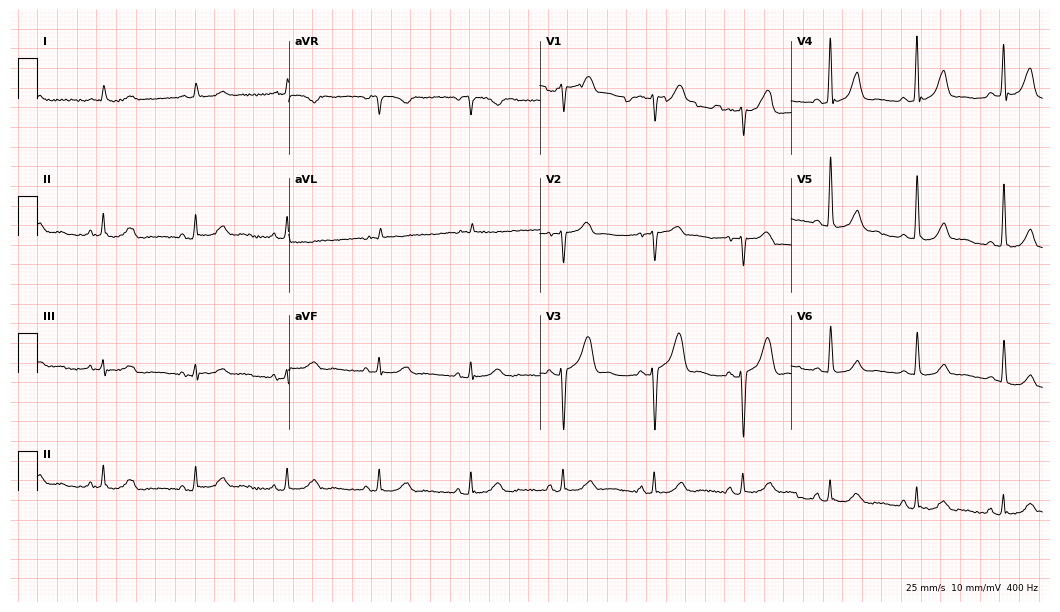
Resting 12-lead electrocardiogram. Patient: a male, 71 years old. None of these six findings is recorded: first-degree AV block, right bundle branch block, left bundle branch block, sinus bradycardia, atrial fibrillation, sinus tachycardia. Only these six findings were labelled.